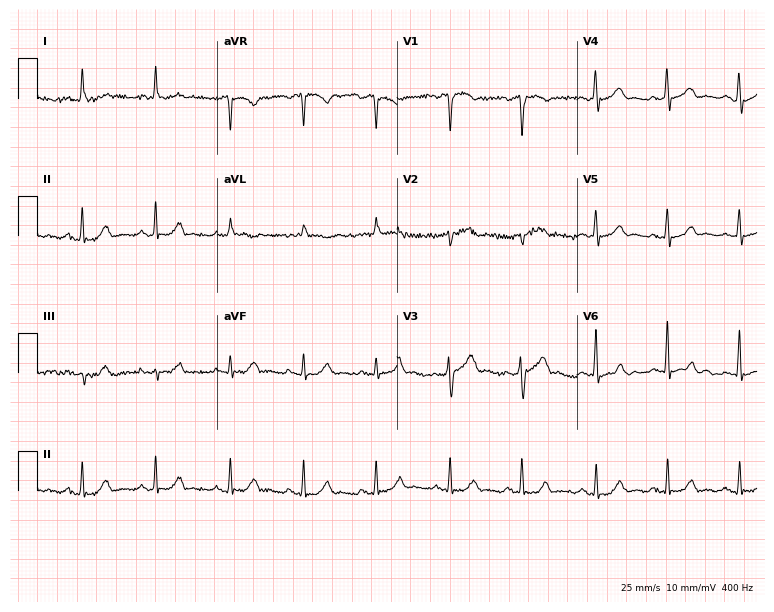
Electrocardiogram, a male patient, 82 years old. Of the six screened findings (first-degree AV block, right bundle branch block (RBBB), left bundle branch block (LBBB), sinus bradycardia, atrial fibrillation (AF), sinus tachycardia), none is recorded.